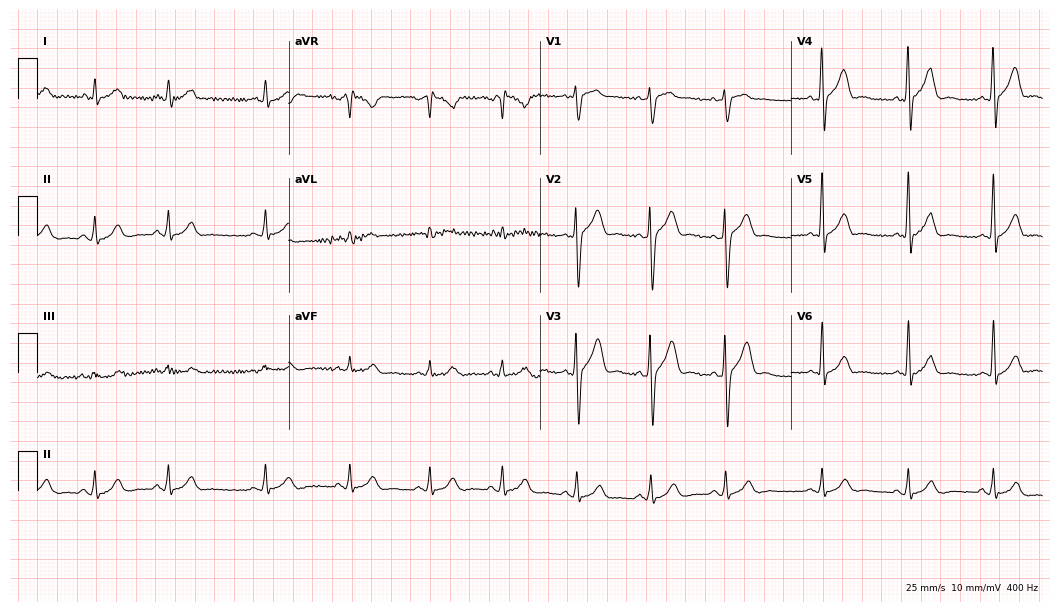
12-lead ECG from a male, 32 years old (10.2-second recording at 400 Hz). Recorded interpretation: within normal limits.